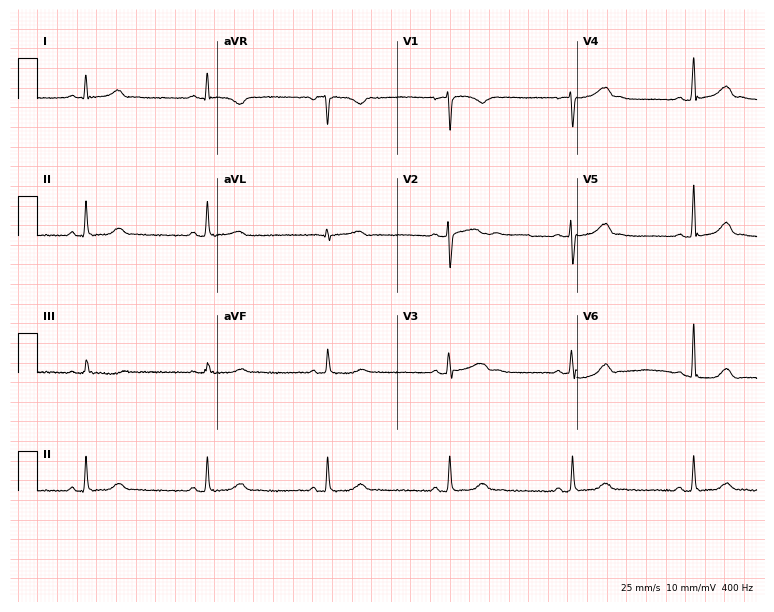
Electrocardiogram, a female, 31 years old. Interpretation includes sinus bradycardia (a sinus rate of 50 beats per minute or less).